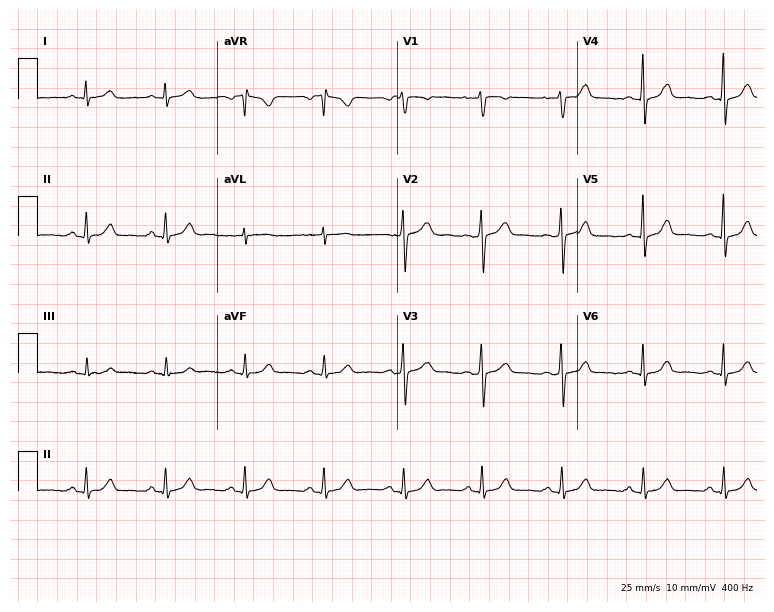
12-lead ECG from a 59-year-old female. Labelled as a normal ECG.